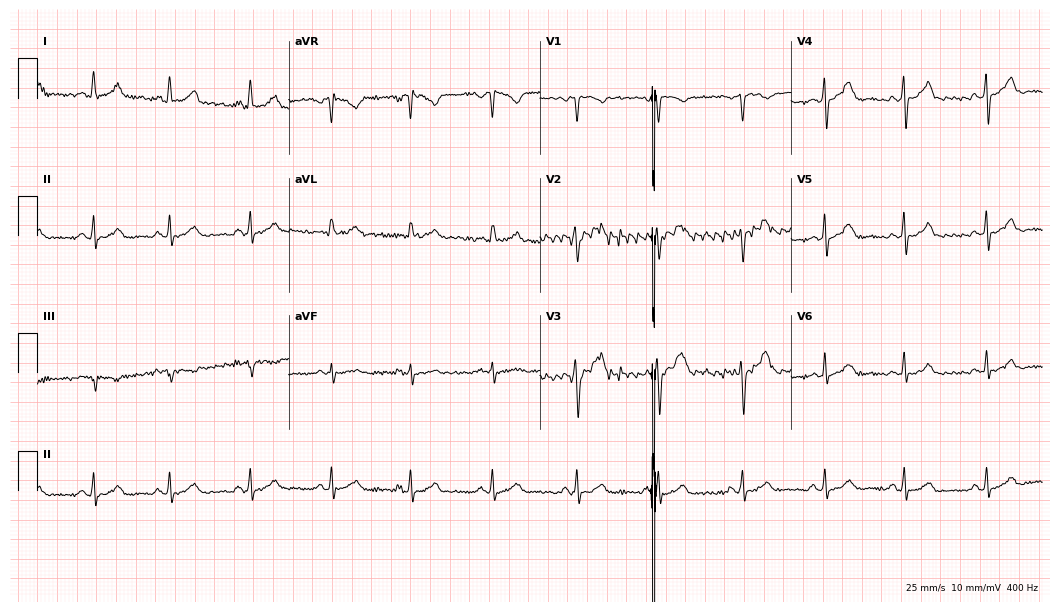
Standard 12-lead ECG recorded from a woman, 36 years old. Read as a normal ECG.